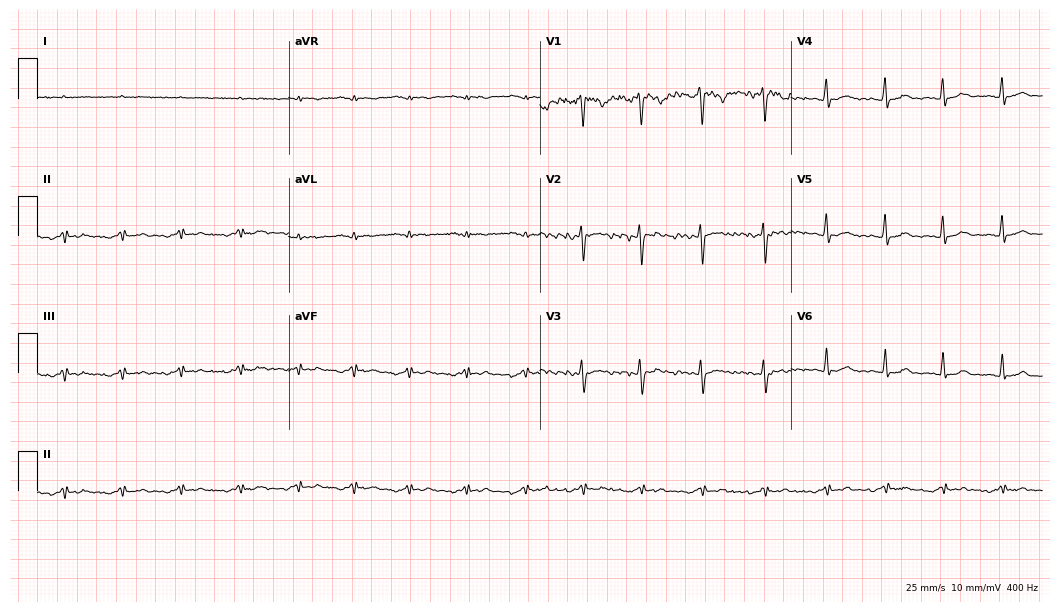
Electrocardiogram (10.2-second recording at 400 Hz), a 19-year-old female patient. Of the six screened findings (first-degree AV block, right bundle branch block, left bundle branch block, sinus bradycardia, atrial fibrillation, sinus tachycardia), none is recorded.